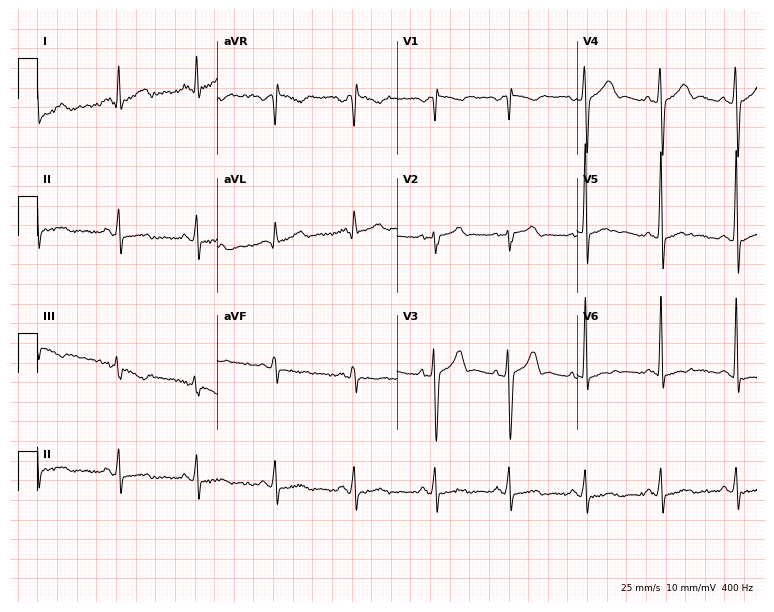
Resting 12-lead electrocardiogram. Patient: a male, 27 years old. None of these six findings is recorded: first-degree AV block, right bundle branch block (RBBB), left bundle branch block (LBBB), sinus bradycardia, atrial fibrillation (AF), sinus tachycardia. Findings outside these six are not listed.